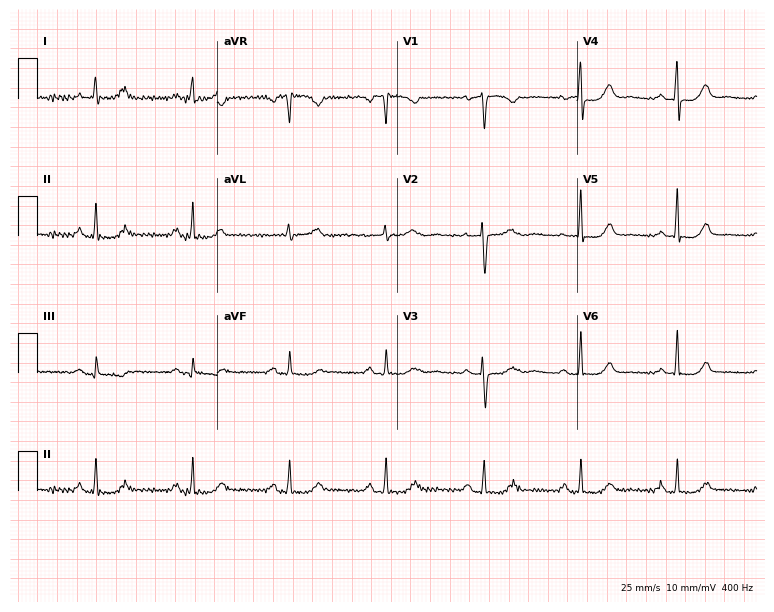
Electrocardiogram (7.3-second recording at 400 Hz), a 58-year-old female patient. Of the six screened findings (first-degree AV block, right bundle branch block, left bundle branch block, sinus bradycardia, atrial fibrillation, sinus tachycardia), none is recorded.